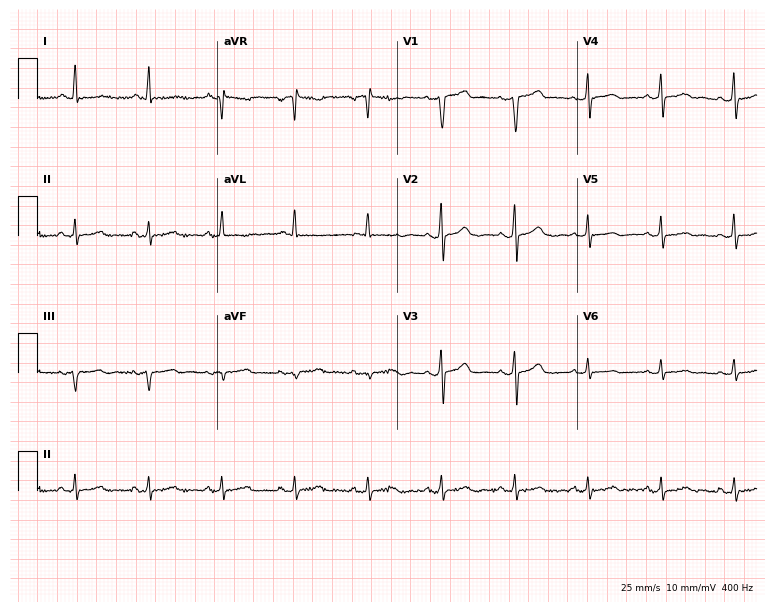
Electrocardiogram, a female, 78 years old. Of the six screened findings (first-degree AV block, right bundle branch block, left bundle branch block, sinus bradycardia, atrial fibrillation, sinus tachycardia), none is recorded.